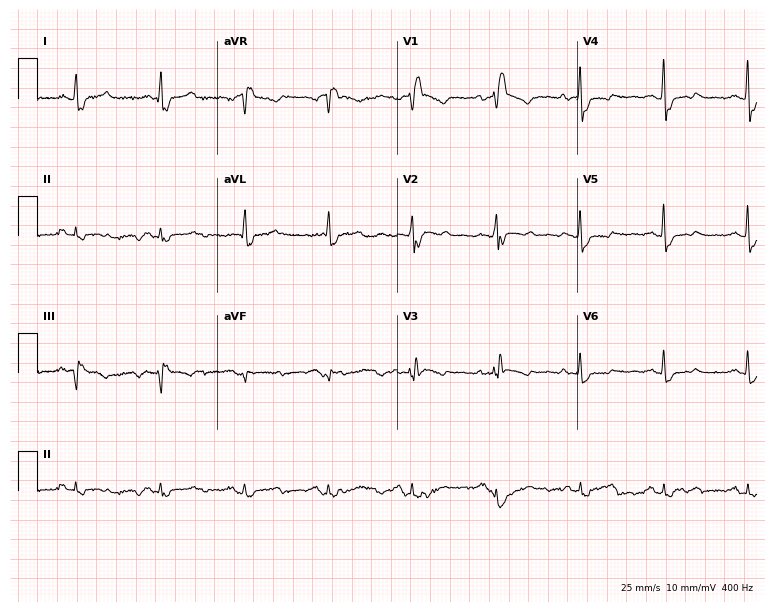
Resting 12-lead electrocardiogram (7.3-second recording at 400 Hz). Patient: a 58-year-old female. None of these six findings is recorded: first-degree AV block, right bundle branch block, left bundle branch block, sinus bradycardia, atrial fibrillation, sinus tachycardia. Findings outside these six are not listed.